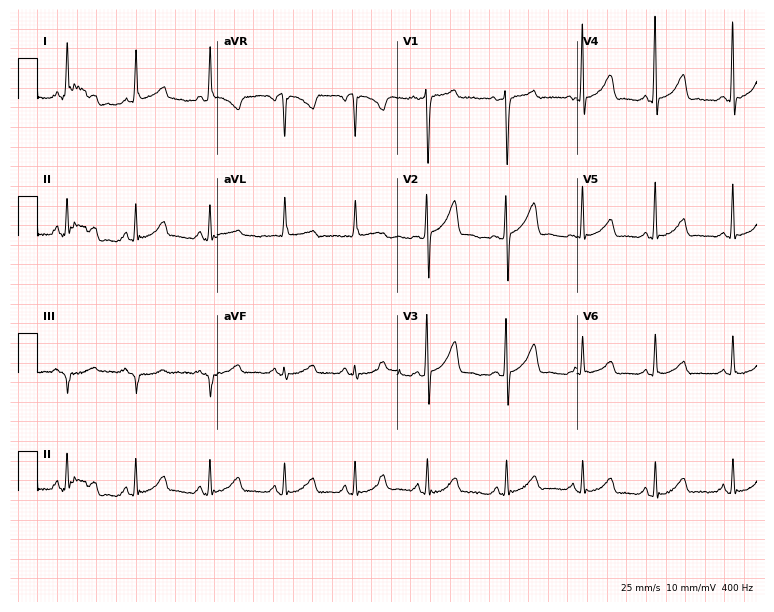
ECG (7.3-second recording at 400 Hz) — a female, 64 years old. Labelled as a normal ECG.